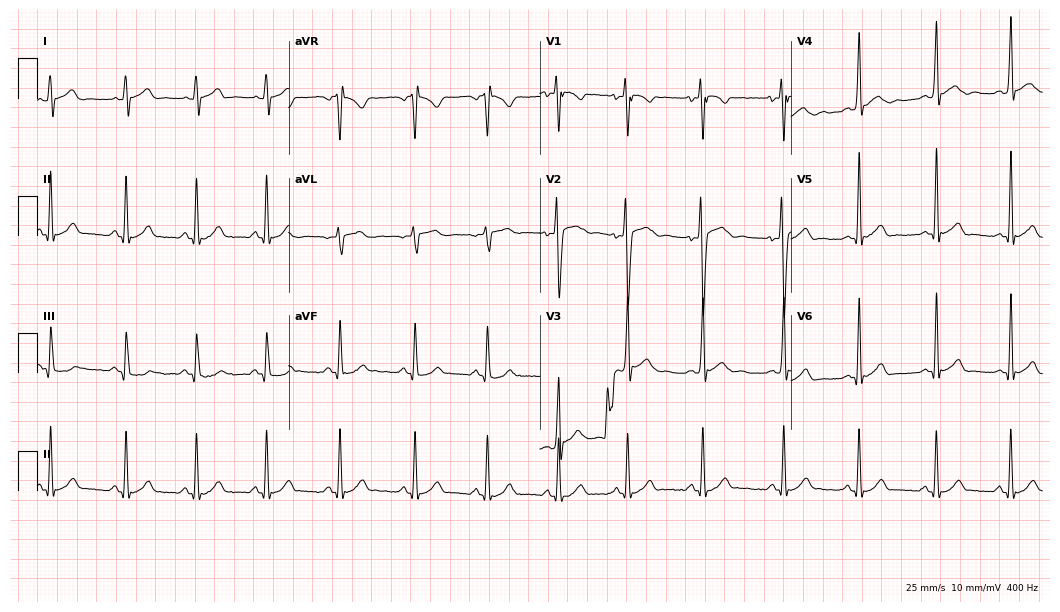
Electrocardiogram, a male patient, 21 years old. Overall reading on record: normal ECG.